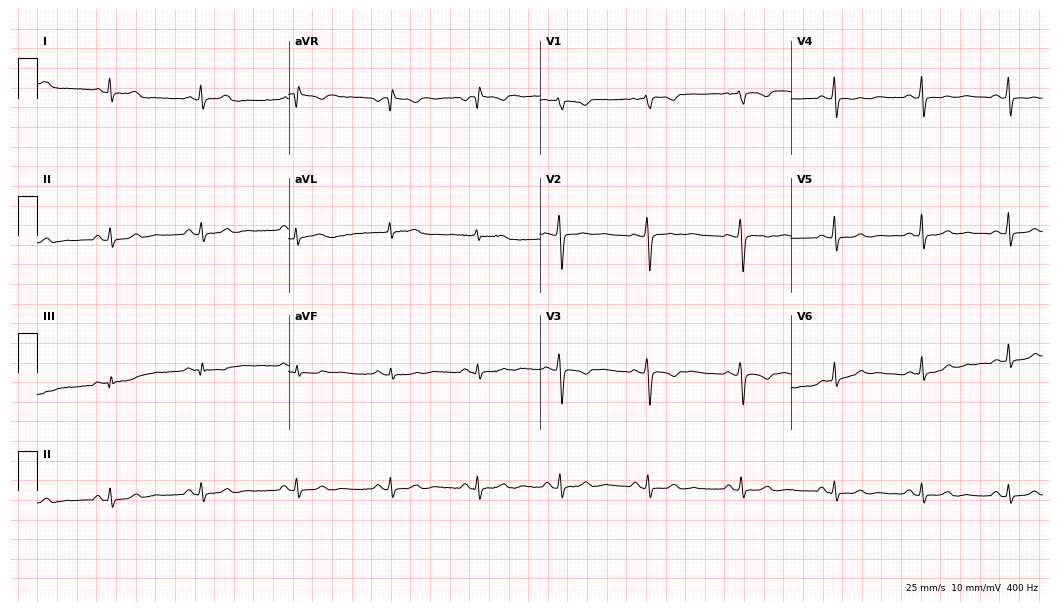
Electrocardiogram, a female patient, 39 years old. Overall reading on record: normal ECG.